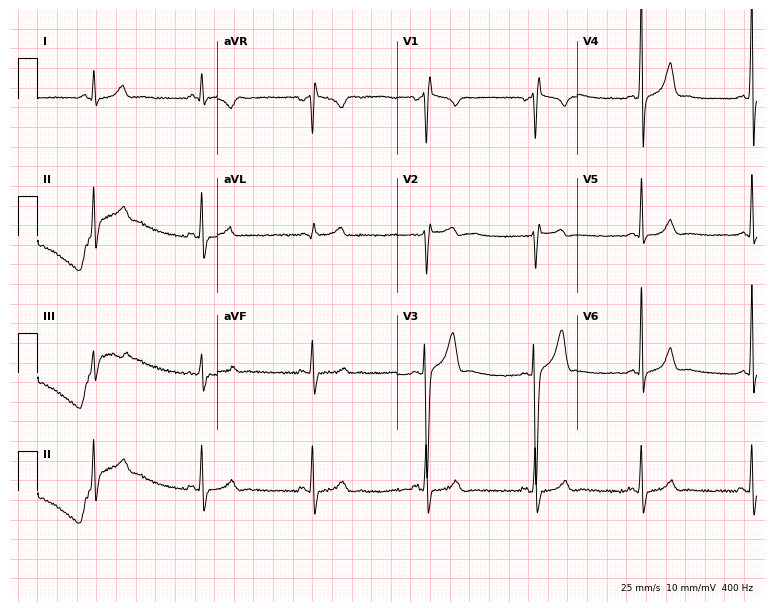
Standard 12-lead ECG recorded from a 35-year-old man (7.3-second recording at 400 Hz). None of these six findings is recorded: first-degree AV block, right bundle branch block (RBBB), left bundle branch block (LBBB), sinus bradycardia, atrial fibrillation (AF), sinus tachycardia. Other findings, if any, are not listed.